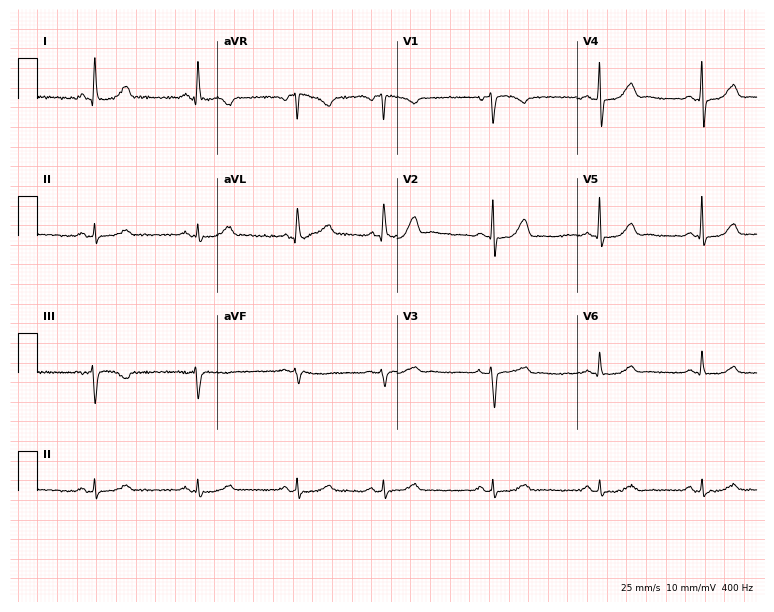
12-lead ECG (7.3-second recording at 400 Hz) from a woman, 45 years old. Screened for six findings — first-degree AV block, right bundle branch block (RBBB), left bundle branch block (LBBB), sinus bradycardia, atrial fibrillation (AF), sinus tachycardia — none is recorded. Other findings, if any, are not listed.